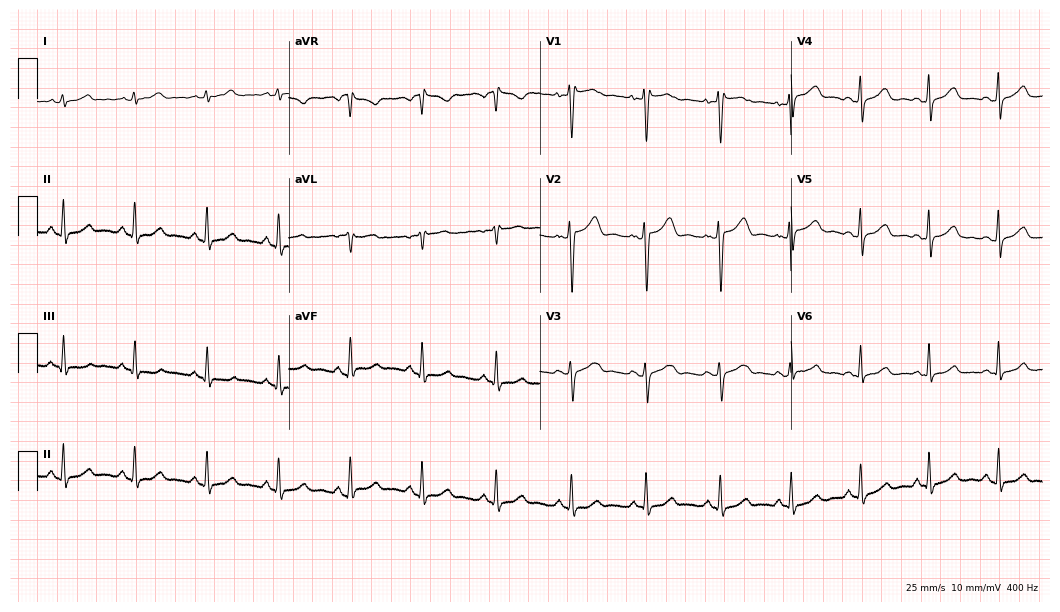
12-lead ECG (10.2-second recording at 400 Hz) from a female, 40 years old. Labelled as a normal ECG.